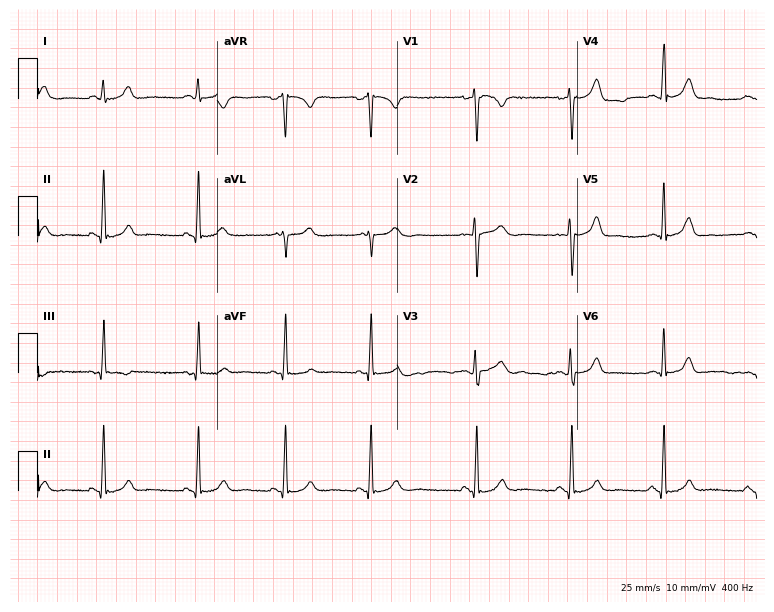
Resting 12-lead electrocardiogram (7.3-second recording at 400 Hz). Patient: a female, 22 years old. Read as a normal ECG.